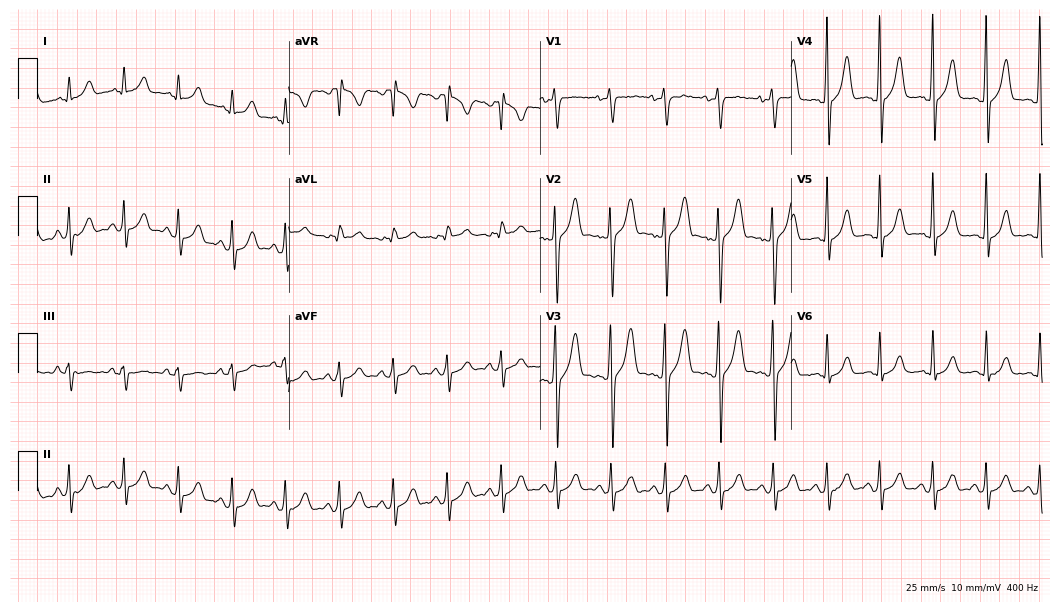
12-lead ECG (10.2-second recording at 400 Hz) from a 19-year-old male. Findings include sinus tachycardia (a sinus rate of 100 beats per minute or more).